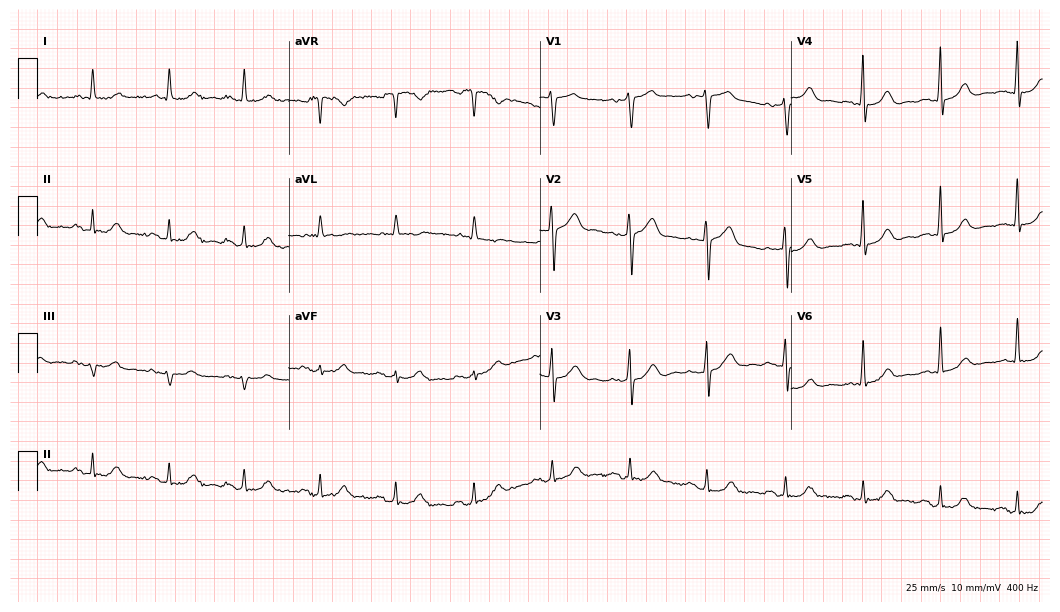
12-lead ECG from a male, 71 years old. No first-degree AV block, right bundle branch block (RBBB), left bundle branch block (LBBB), sinus bradycardia, atrial fibrillation (AF) or sinus tachycardia recorded for this tracing. Findings outside these six are not listed.